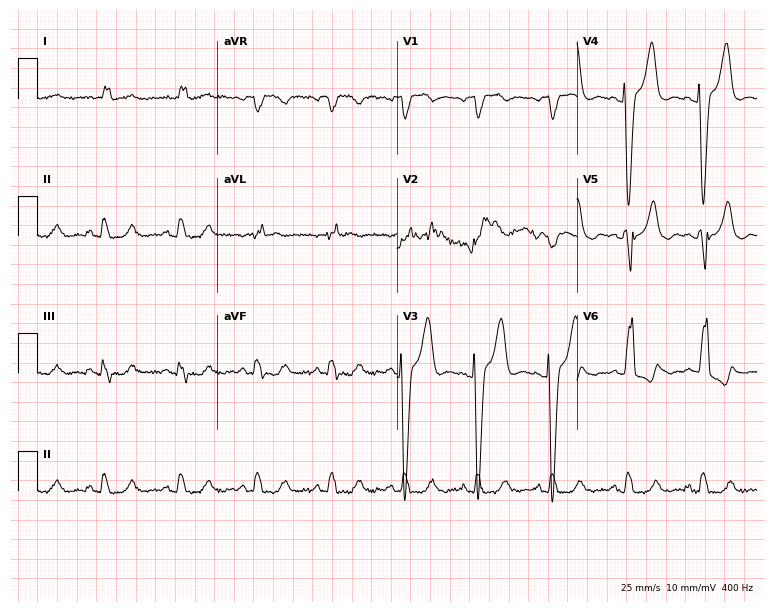
Resting 12-lead electrocardiogram (7.3-second recording at 400 Hz). Patient: a female, 61 years old. The tracing shows left bundle branch block.